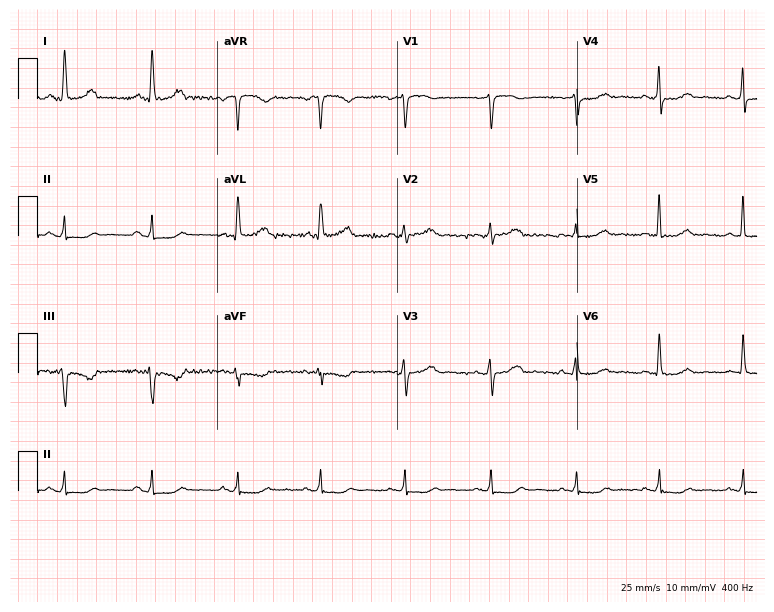
Resting 12-lead electrocardiogram. Patient: a female, 68 years old. None of these six findings is recorded: first-degree AV block, right bundle branch block, left bundle branch block, sinus bradycardia, atrial fibrillation, sinus tachycardia. Only these six findings were labelled.